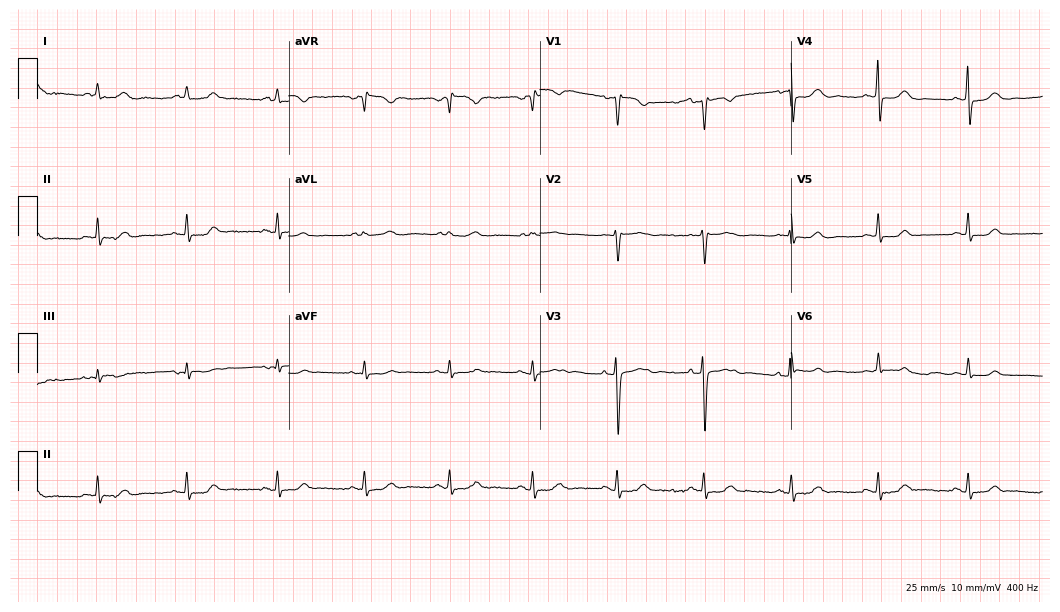
Standard 12-lead ECG recorded from a 44-year-old female. None of these six findings is recorded: first-degree AV block, right bundle branch block, left bundle branch block, sinus bradycardia, atrial fibrillation, sinus tachycardia. Findings outside these six are not listed.